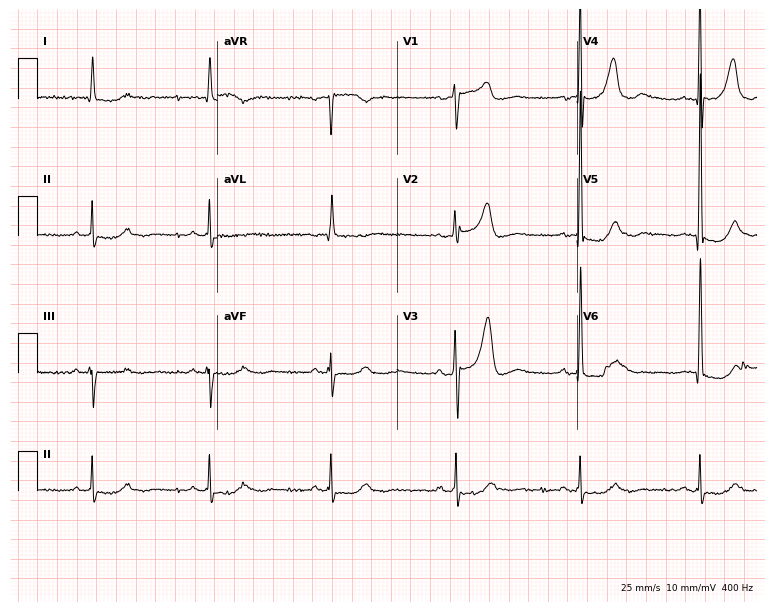
ECG — a 75-year-old female patient. Findings include sinus bradycardia (a sinus rate of 50 beats per minute or less).